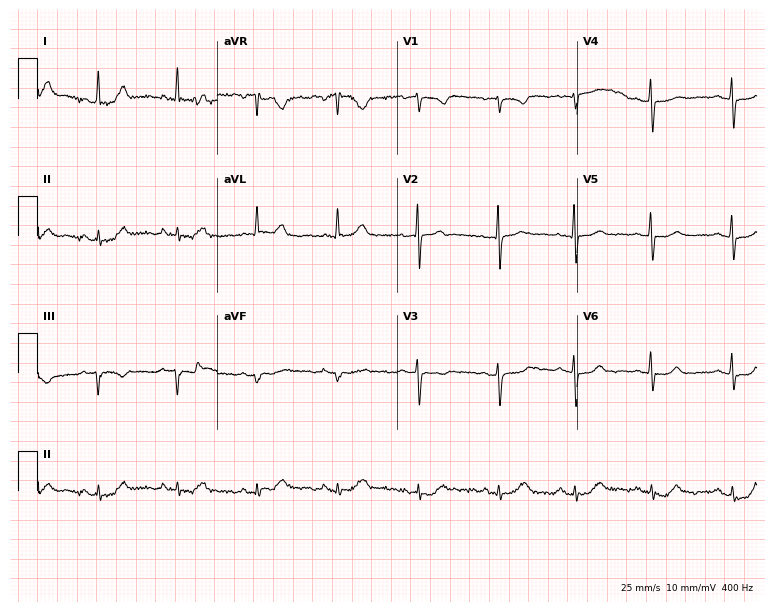
Resting 12-lead electrocardiogram. Patient: a 75-year-old female. None of these six findings is recorded: first-degree AV block, right bundle branch block, left bundle branch block, sinus bradycardia, atrial fibrillation, sinus tachycardia.